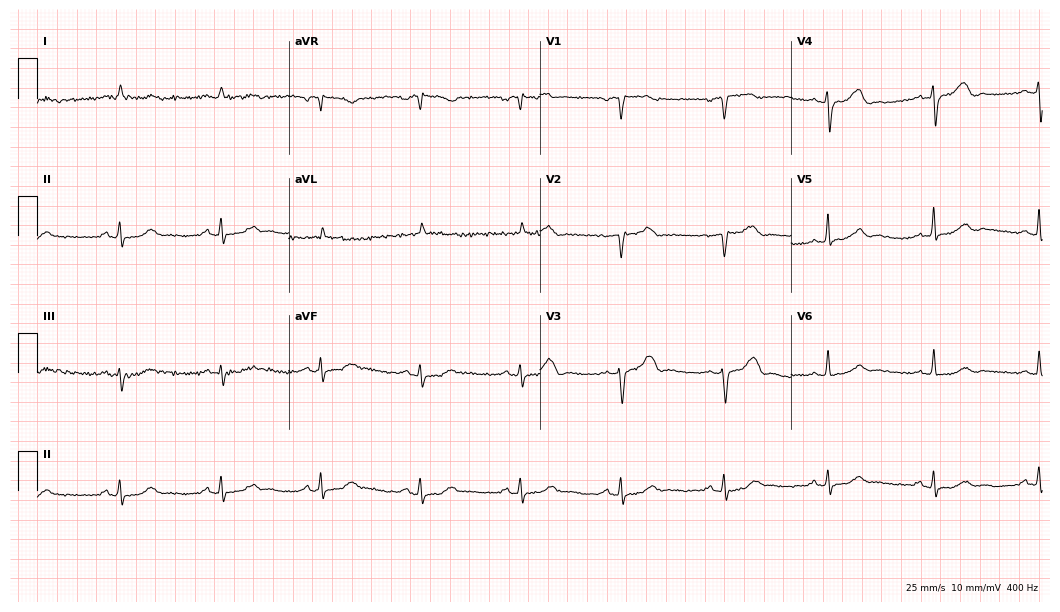
Resting 12-lead electrocardiogram (10.2-second recording at 400 Hz). Patient: a man, 74 years old. None of these six findings is recorded: first-degree AV block, right bundle branch block, left bundle branch block, sinus bradycardia, atrial fibrillation, sinus tachycardia.